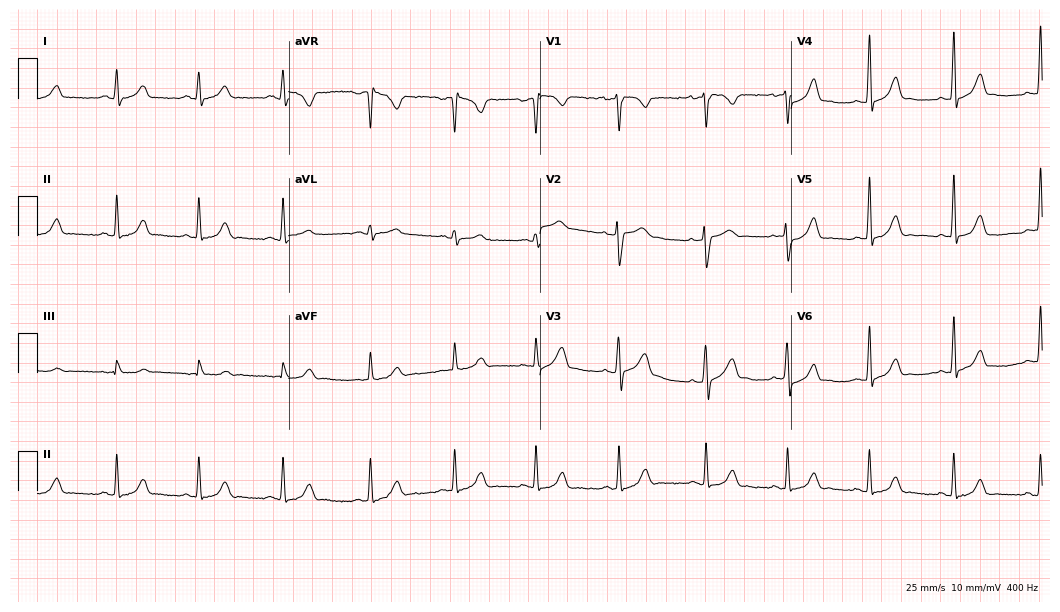
Electrocardiogram, a female patient, 25 years old. Overall reading on record: normal ECG.